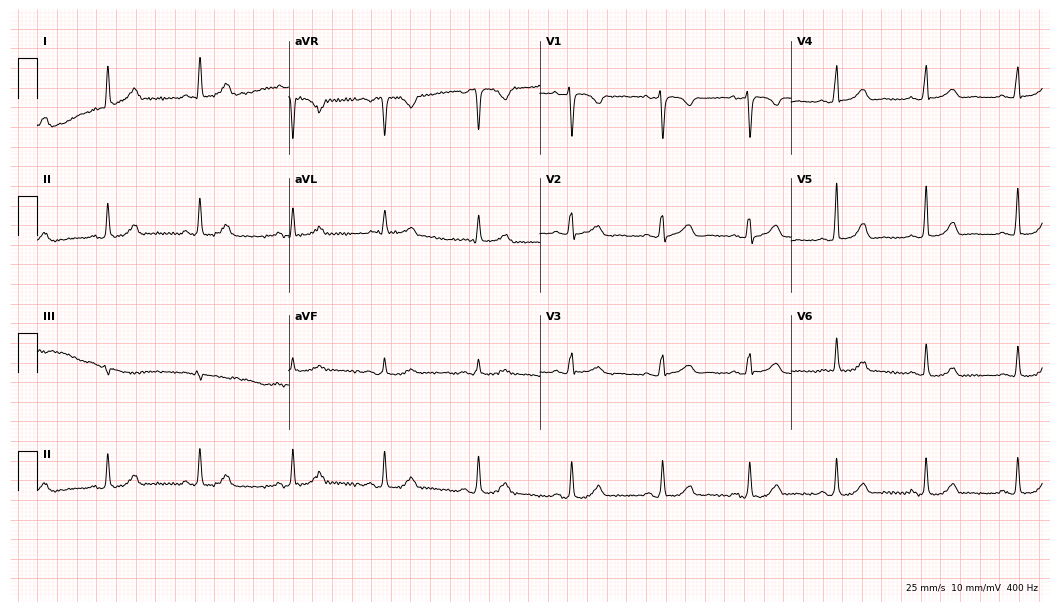
Resting 12-lead electrocardiogram. Patient: a woman, 46 years old. Read as a normal ECG.